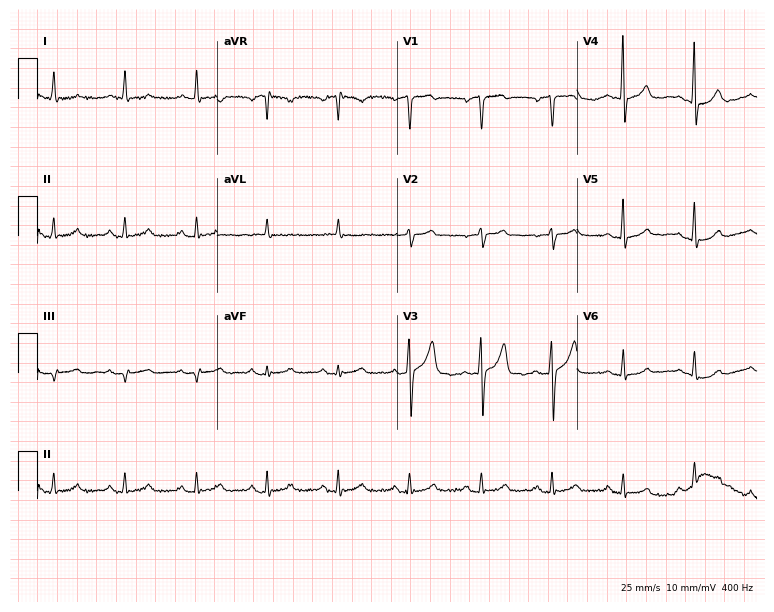
Electrocardiogram, a 77-year-old male patient. Overall reading on record: normal ECG.